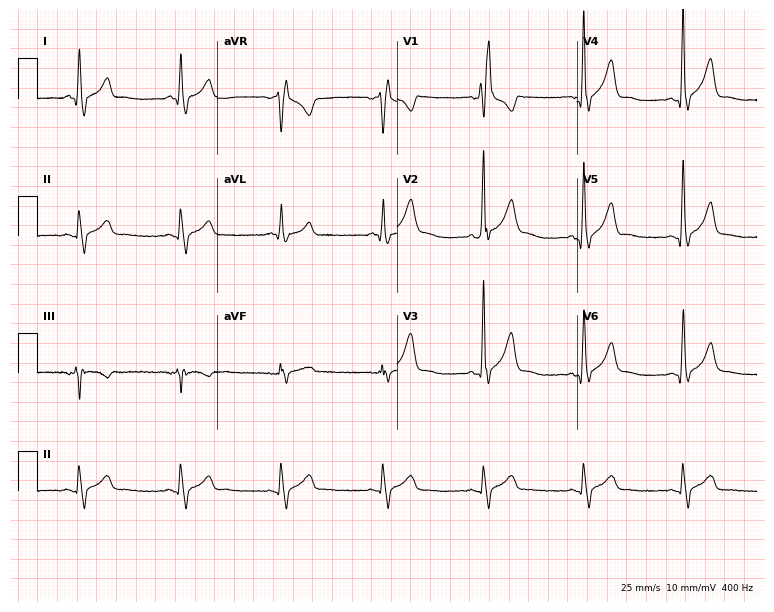
Standard 12-lead ECG recorded from a male patient, 52 years old (7.3-second recording at 400 Hz). None of these six findings is recorded: first-degree AV block, right bundle branch block (RBBB), left bundle branch block (LBBB), sinus bradycardia, atrial fibrillation (AF), sinus tachycardia.